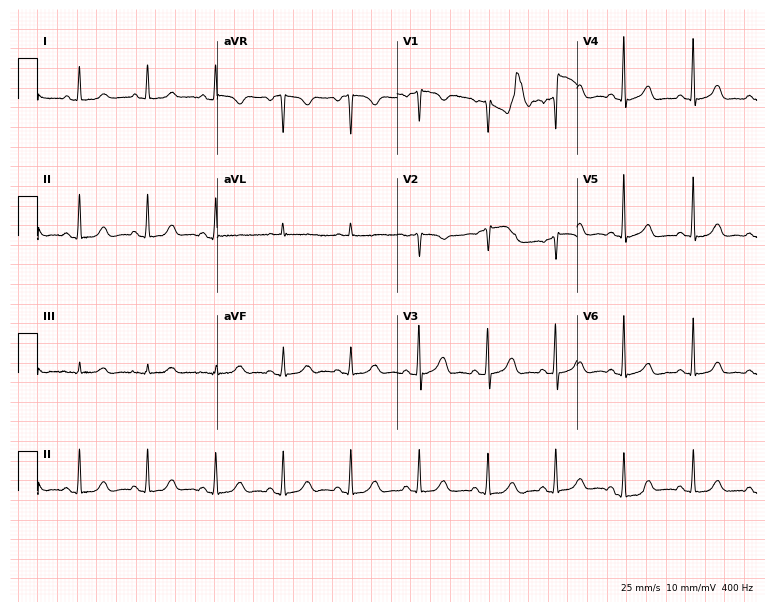
12-lead ECG from an 84-year-old female patient (7.3-second recording at 400 Hz). Recorded interpretation: within normal limits.